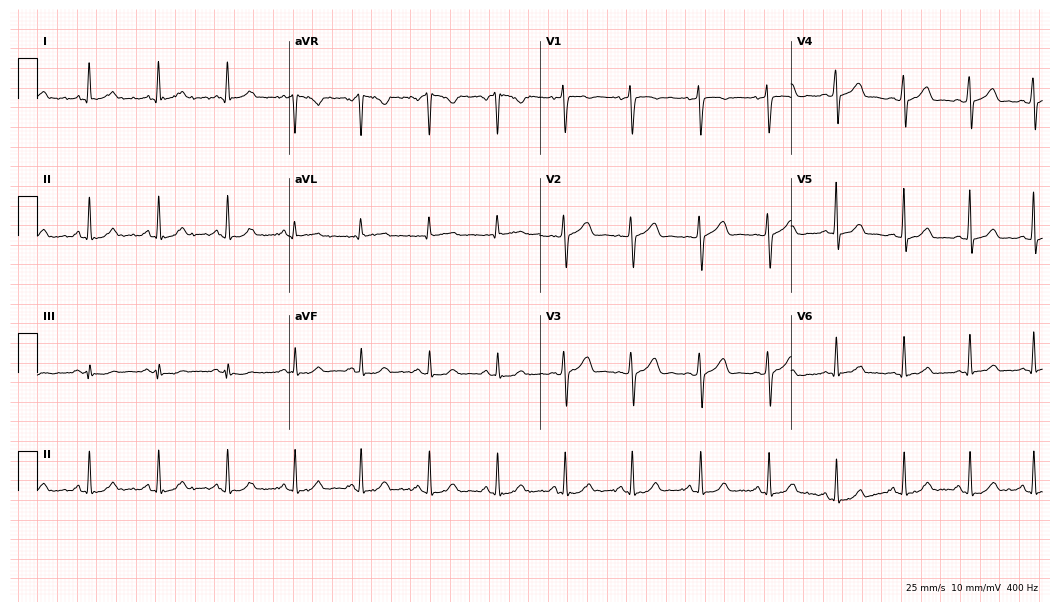
ECG — a 47-year-old female. Screened for six findings — first-degree AV block, right bundle branch block, left bundle branch block, sinus bradycardia, atrial fibrillation, sinus tachycardia — none is recorded.